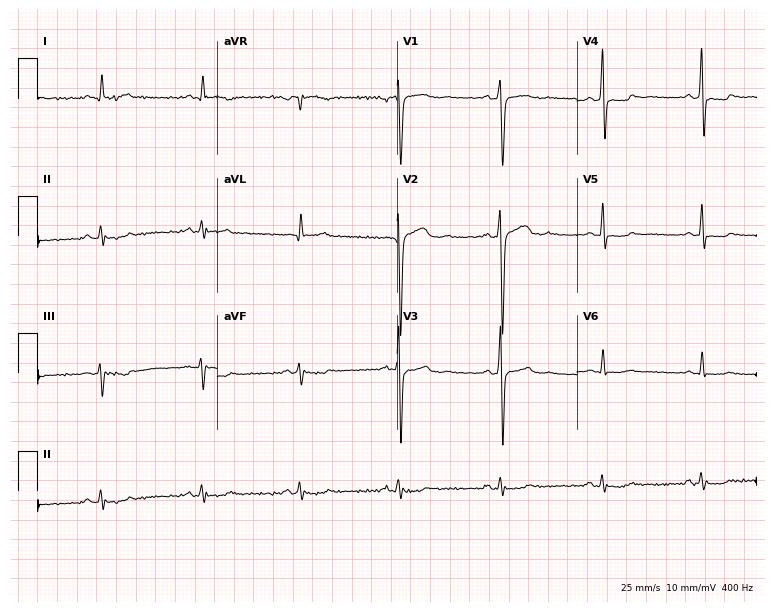
12-lead ECG from a 60-year-old man (7.3-second recording at 400 Hz). No first-degree AV block, right bundle branch block (RBBB), left bundle branch block (LBBB), sinus bradycardia, atrial fibrillation (AF) or sinus tachycardia recorded for this tracing.